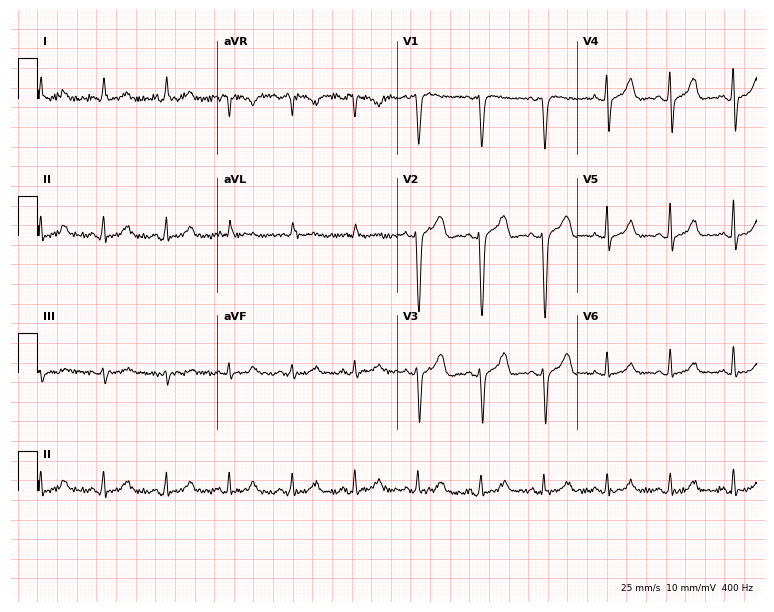
12-lead ECG from a male patient, 50 years old. Recorded interpretation: within normal limits.